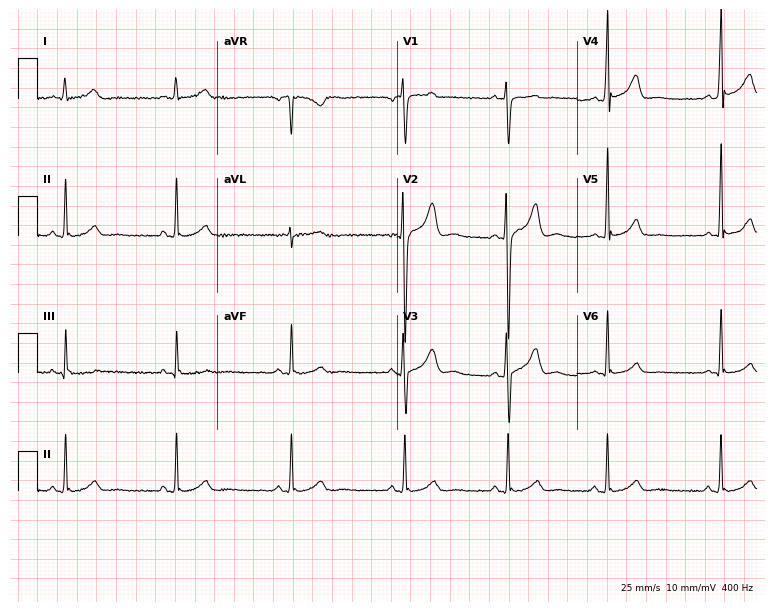
12-lead ECG from a man, 22 years old (7.3-second recording at 400 Hz). No first-degree AV block, right bundle branch block, left bundle branch block, sinus bradycardia, atrial fibrillation or sinus tachycardia recorded for this tracing. Findings outside these six are not listed.